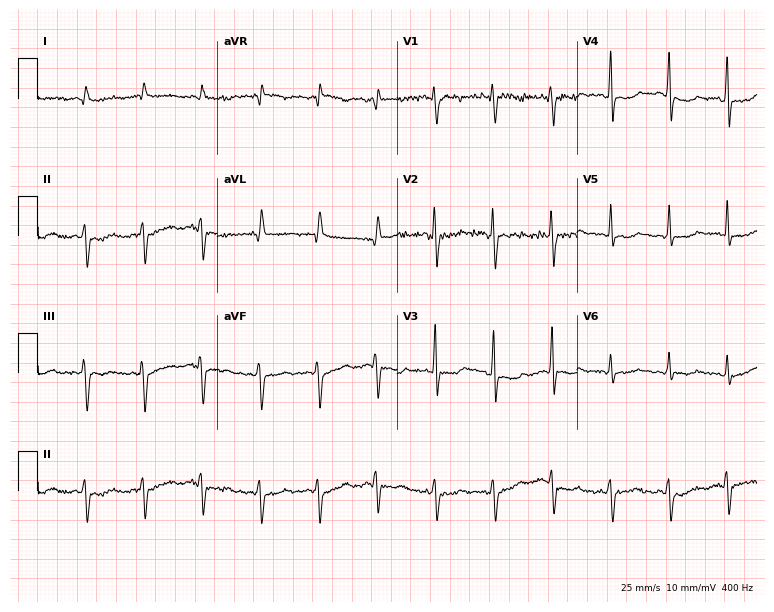
Electrocardiogram (7.3-second recording at 400 Hz), a 53-year-old man. Of the six screened findings (first-degree AV block, right bundle branch block (RBBB), left bundle branch block (LBBB), sinus bradycardia, atrial fibrillation (AF), sinus tachycardia), none is recorded. Other findings, if any, are not listed.